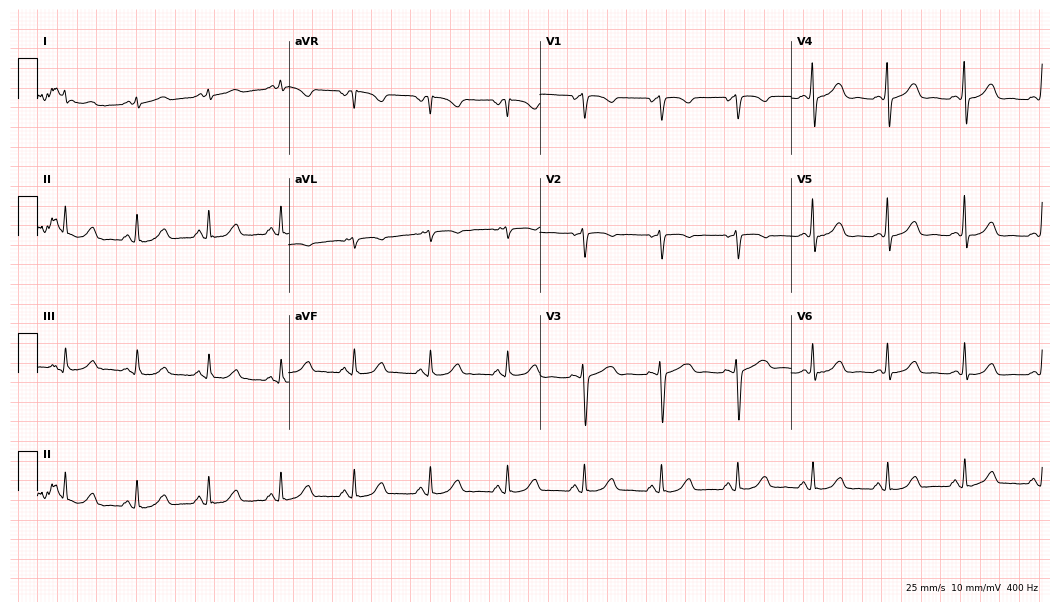
12-lead ECG from a 44-year-old woman (10.2-second recording at 400 Hz). Recorded interpretation: within normal limits.